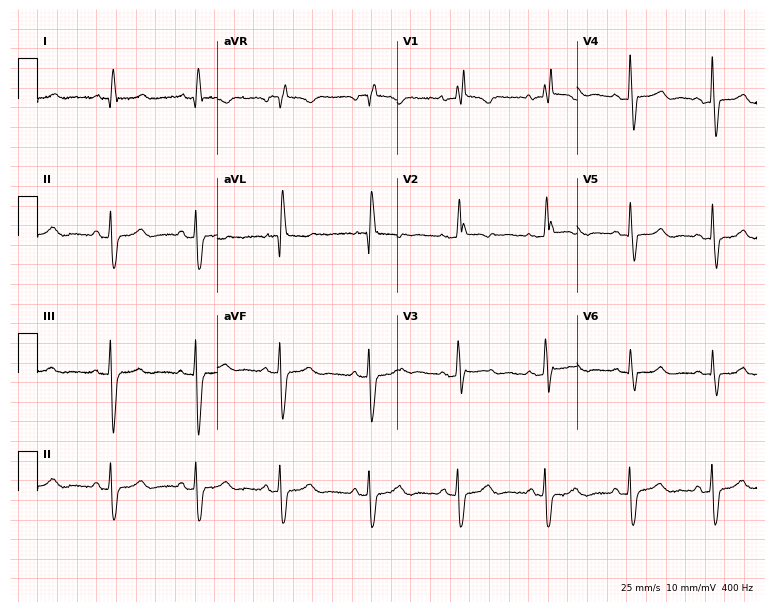
12-lead ECG from a man, 83 years old. No first-degree AV block, right bundle branch block (RBBB), left bundle branch block (LBBB), sinus bradycardia, atrial fibrillation (AF) or sinus tachycardia recorded for this tracing. Findings outside these six are not listed.